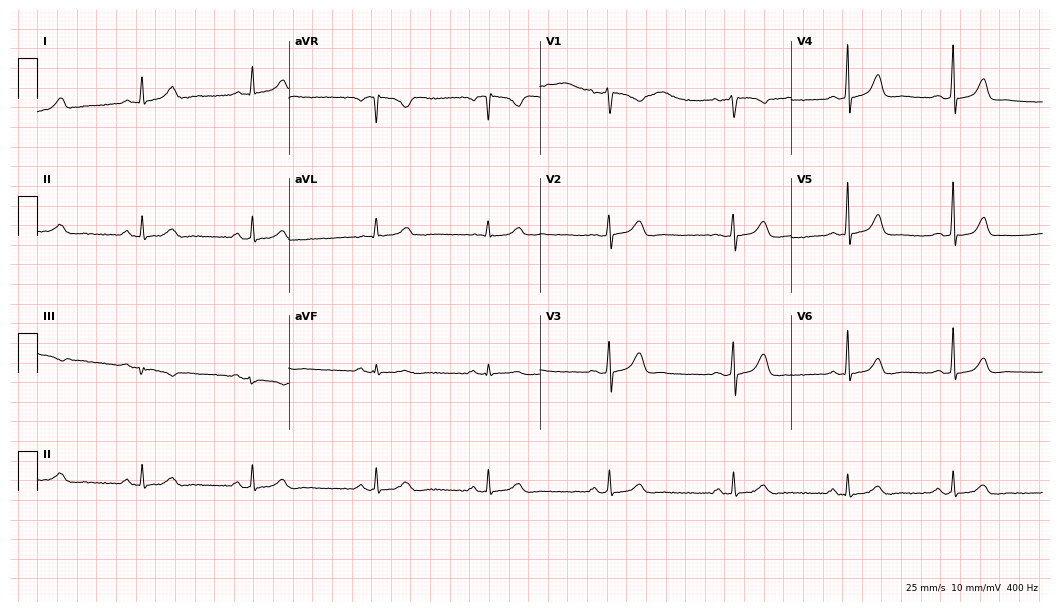
Resting 12-lead electrocardiogram. Patient: a 28-year-old female. Read as a normal ECG.